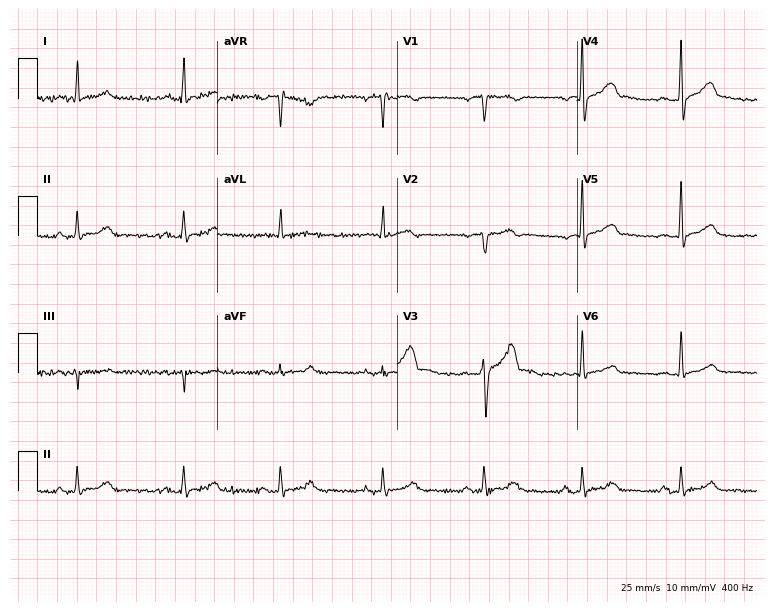
Electrocardiogram (7.3-second recording at 400 Hz), a 33-year-old man. Overall reading on record: normal ECG.